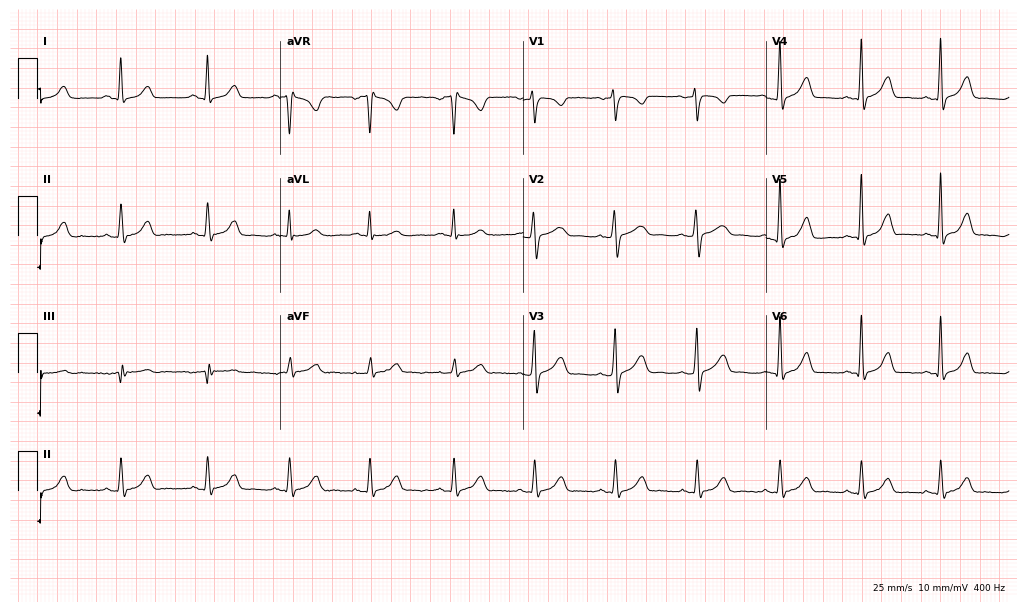
Resting 12-lead electrocardiogram. Patient: a 24-year-old man. Read as a normal ECG.